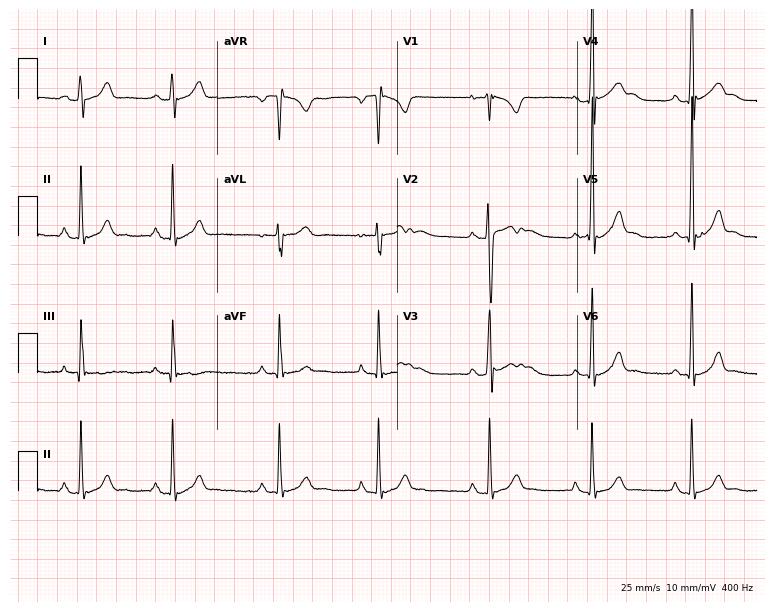
ECG — a 17-year-old male patient. Labelled as a normal ECG.